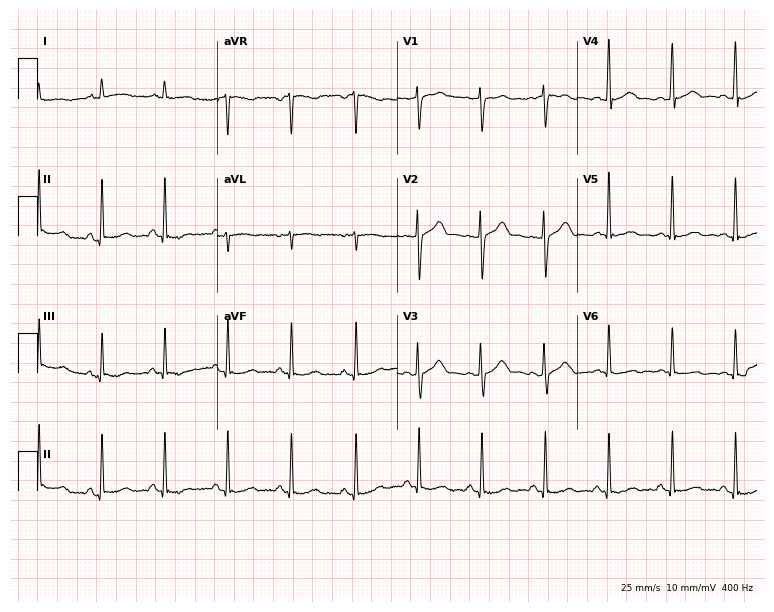
ECG — a man, 49 years old. Screened for six findings — first-degree AV block, right bundle branch block, left bundle branch block, sinus bradycardia, atrial fibrillation, sinus tachycardia — none is recorded.